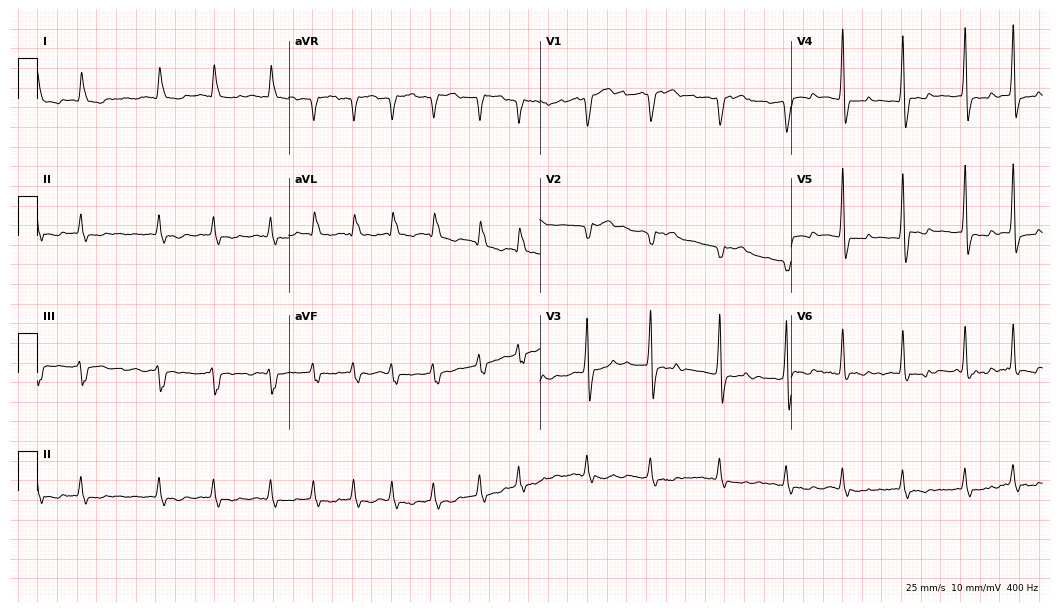
12-lead ECG from a male, 84 years old. Shows atrial fibrillation.